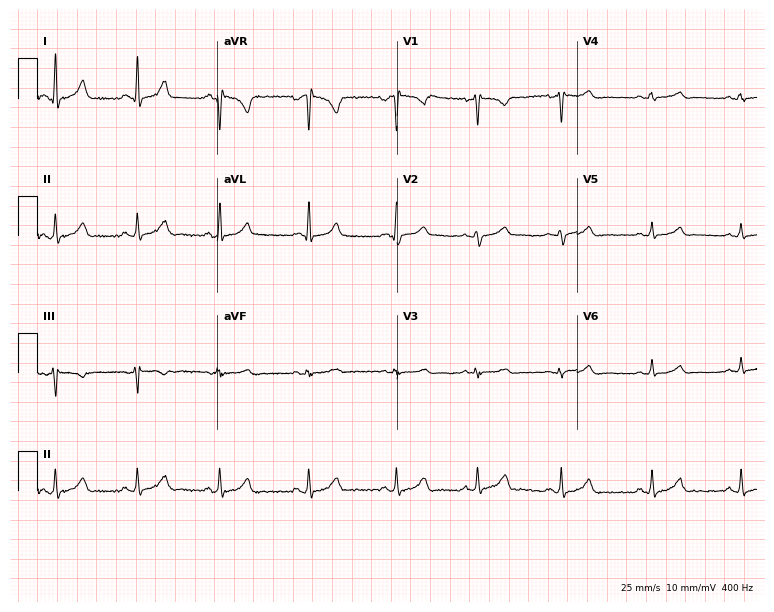
ECG — a 32-year-old female. Labelled as a normal ECG.